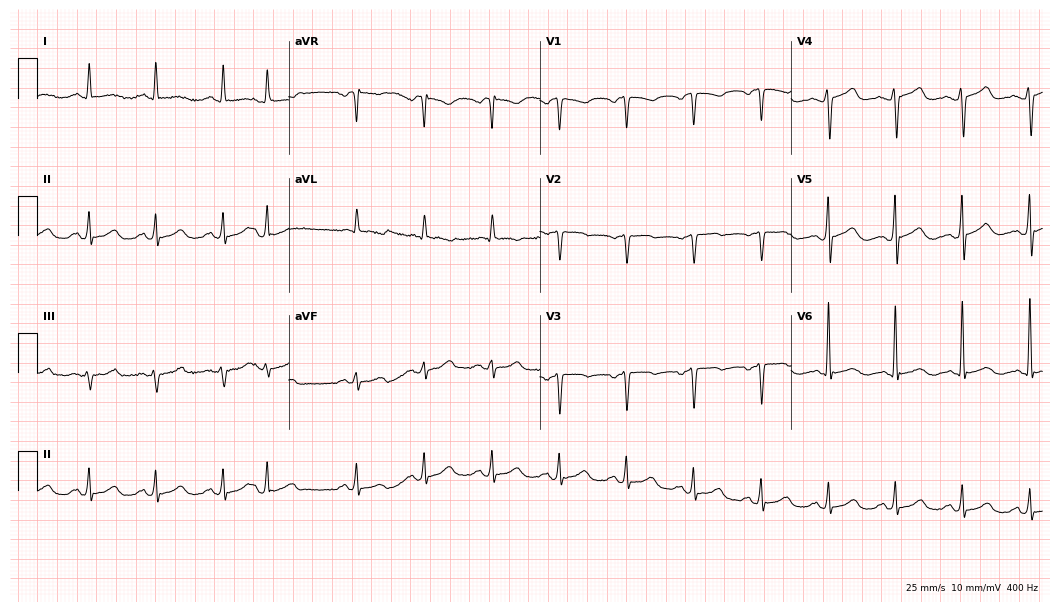
Electrocardiogram (10.2-second recording at 400 Hz), a 51-year-old female patient. Of the six screened findings (first-degree AV block, right bundle branch block (RBBB), left bundle branch block (LBBB), sinus bradycardia, atrial fibrillation (AF), sinus tachycardia), none is recorded. Findings outside these six are not listed.